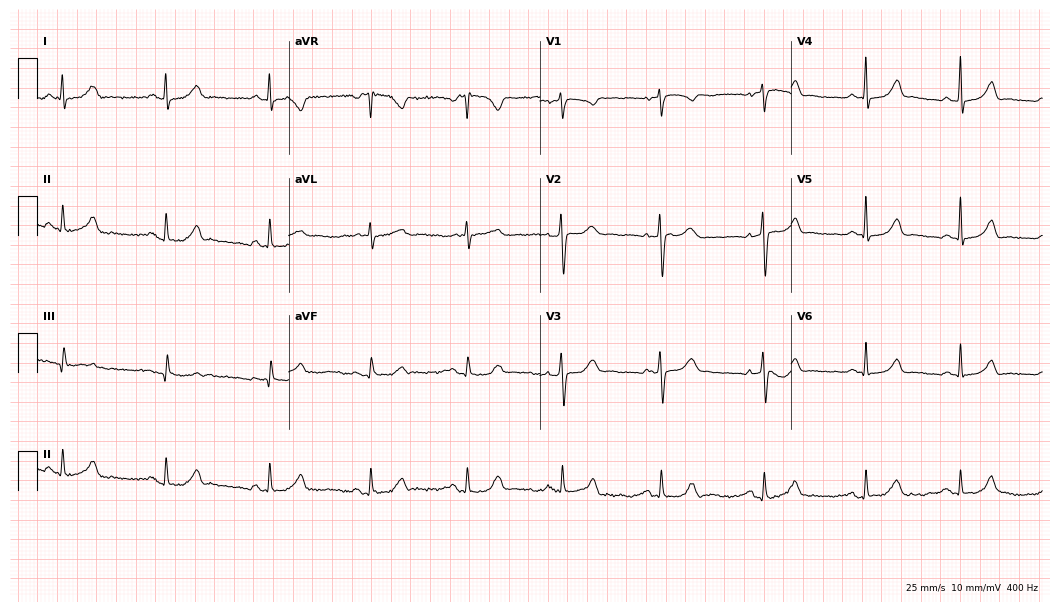
12-lead ECG from a 45-year-old female patient. Labelled as a normal ECG.